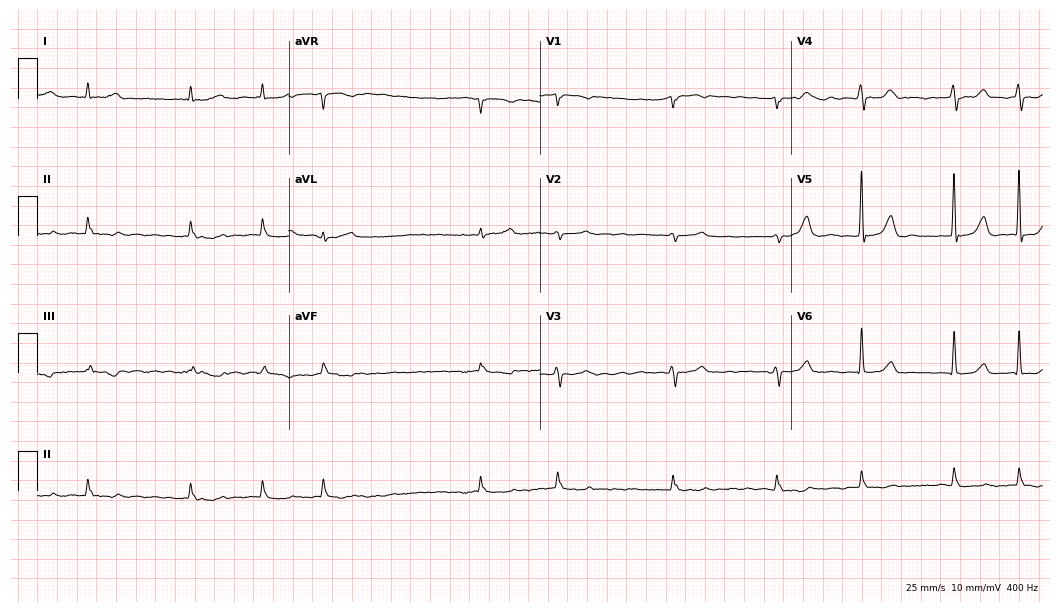
12-lead ECG (10.2-second recording at 400 Hz) from a man, 79 years old. Findings include atrial fibrillation.